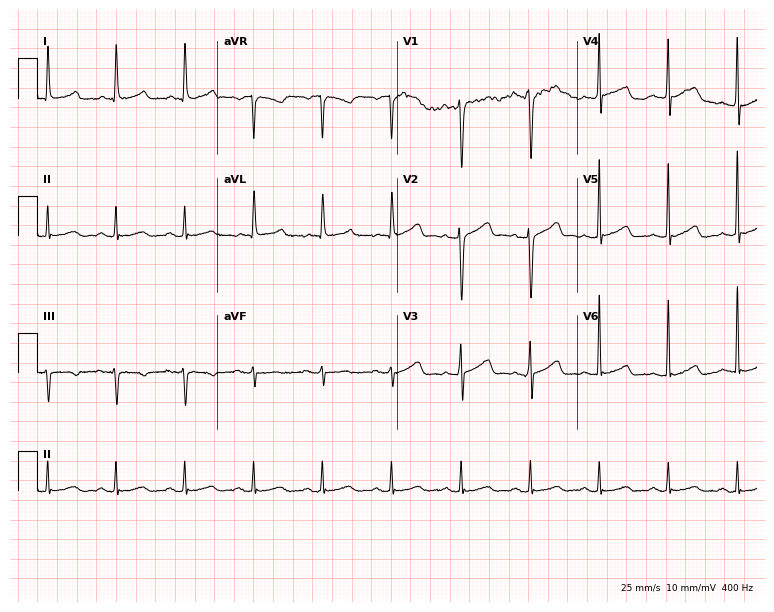
12-lead ECG from a female patient, 64 years old. Labelled as a normal ECG.